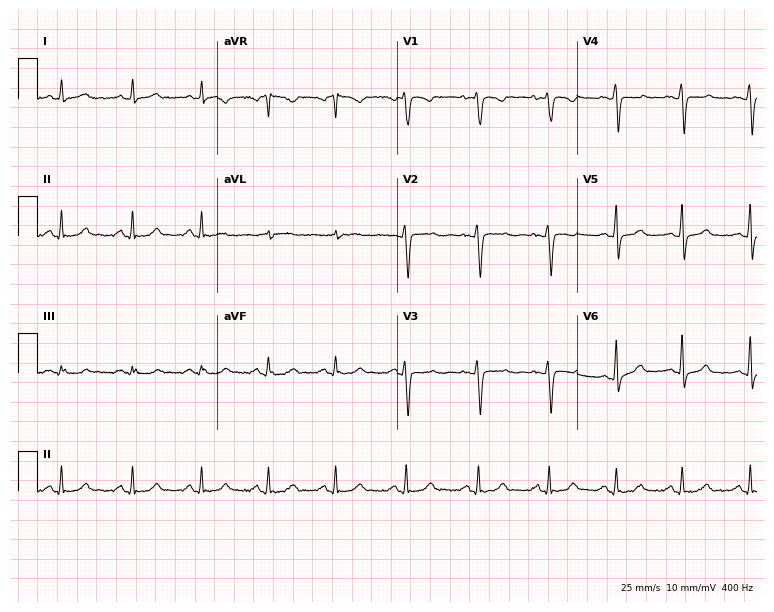
12-lead ECG from a 42-year-old female (7.3-second recording at 400 Hz). Recorded interpretation: within normal limits.